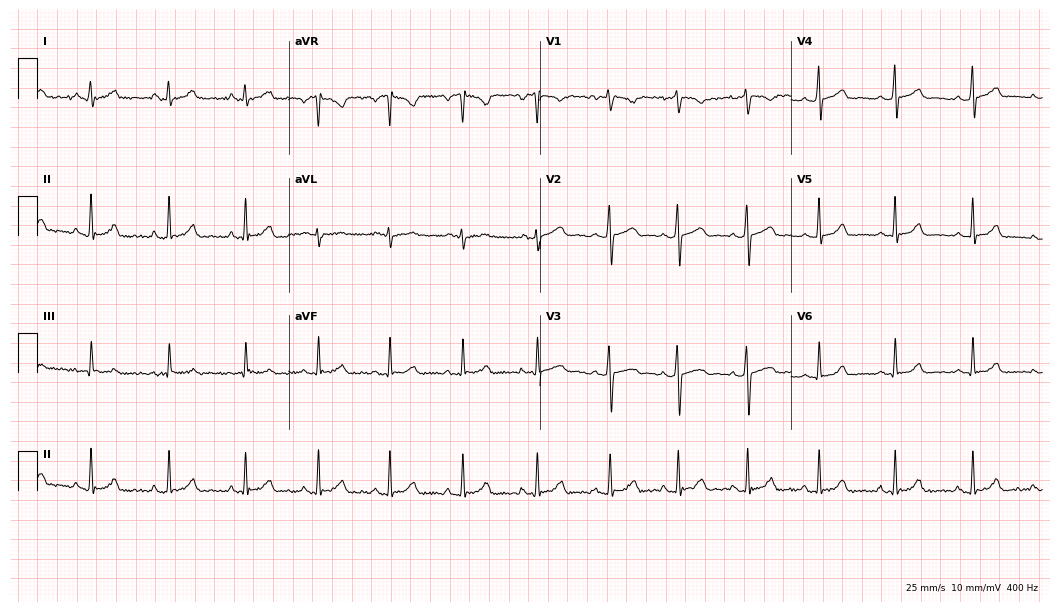
Electrocardiogram, a 21-year-old female patient. Overall reading on record: normal ECG.